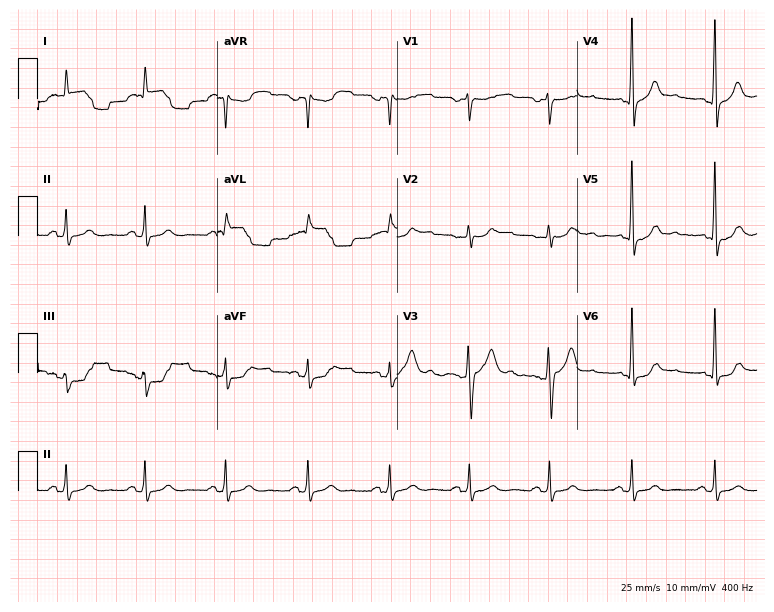
Standard 12-lead ECG recorded from a female patient, 72 years old (7.3-second recording at 400 Hz). None of these six findings is recorded: first-degree AV block, right bundle branch block (RBBB), left bundle branch block (LBBB), sinus bradycardia, atrial fibrillation (AF), sinus tachycardia.